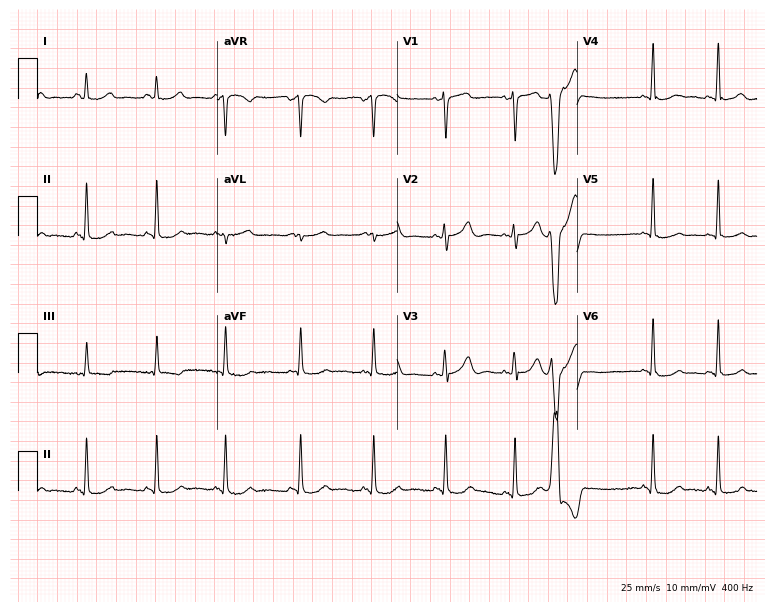
Resting 12-lead electrocardiogram (7.3-second recording at 400 Hz). Patient: a female, 45 years old. Read as a normal ECG.